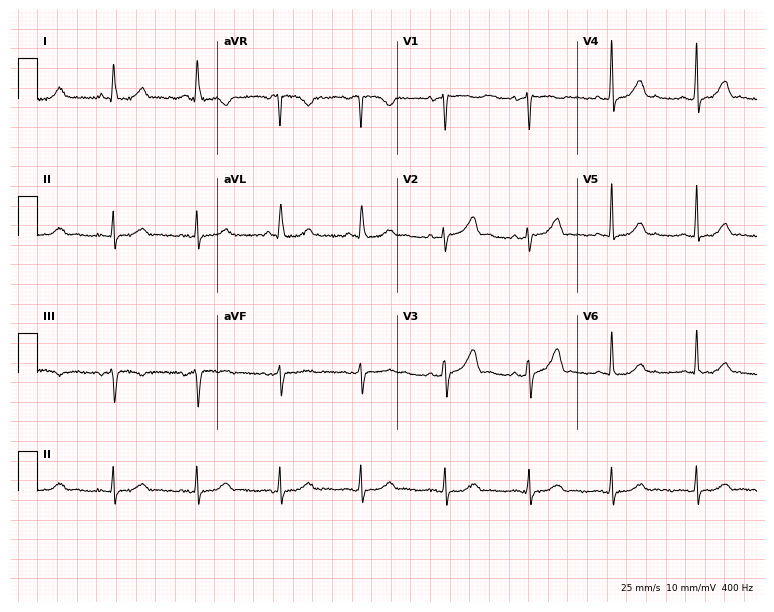
Standard 12-lead ECG recorded from a 58-year-old female patient (7.3-second recording at 400 Hz). None of these six findings is recorded: first-degree AV block, right bundle branch block (RBBB), left bundle branch block (LBBB), sinus bradycardia, atrial fibrillation (AF), sinus tachycardia. Only these six findings were labelled.